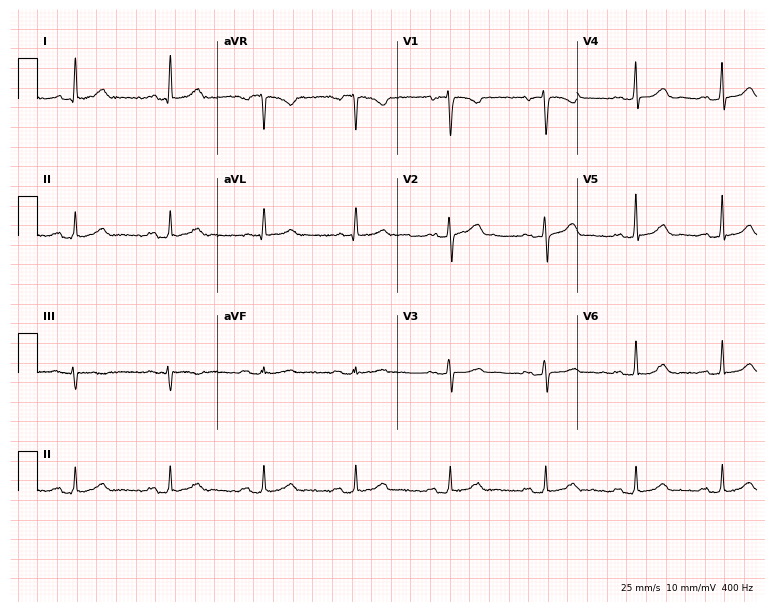
Standard 12-lead ECG recorded from a 35-year-old female. Read as a normal ECG.